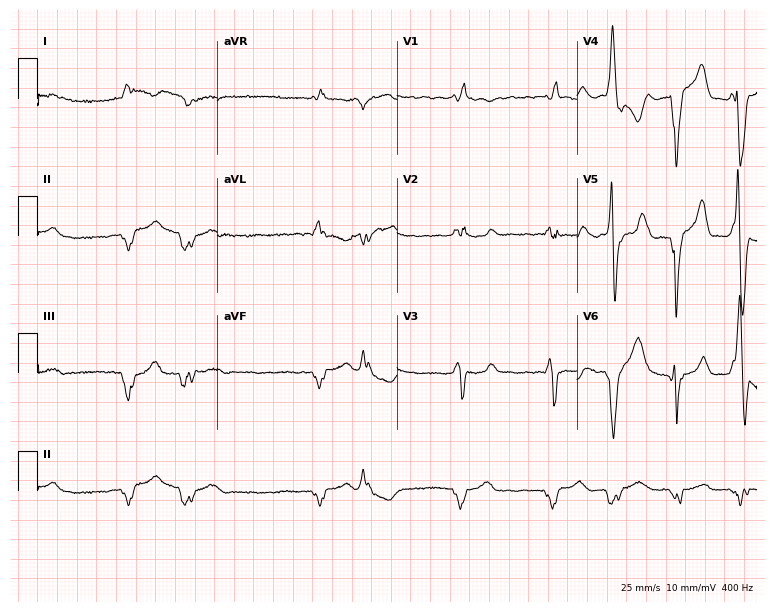
ECG (7.3-second recording at 400 Hz) — a 76-year-old male patient. Findings include right bundle branch block, atrial fibrillation.